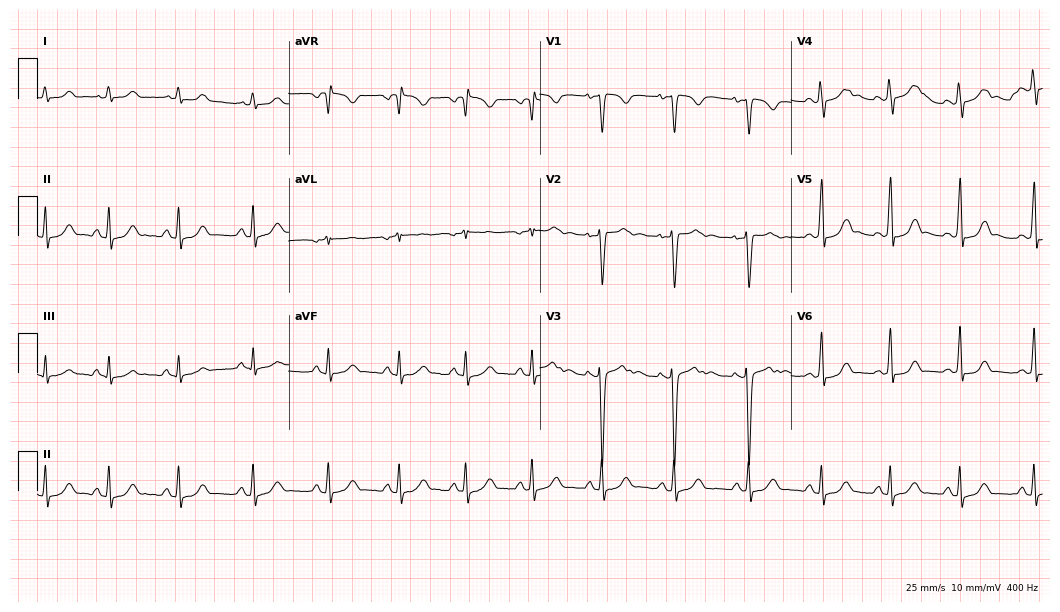
12-lead ECG from a woman, 19 years old. No first-degree AV block, right bundle branch block, left bundle branch block, sinus bradycardia, atrial fibrillation or sinus tachycardia recorded for this tracing. Only these six findings were labelled.